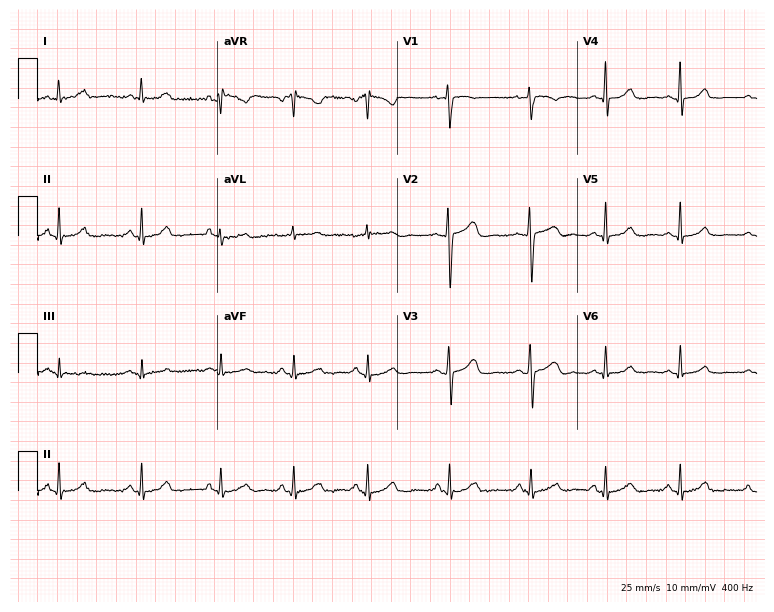
Electrocardiogram (7.3-second recording at 400 Hz), a female patient, 34 years old. Overall reading on record: normal ECG.